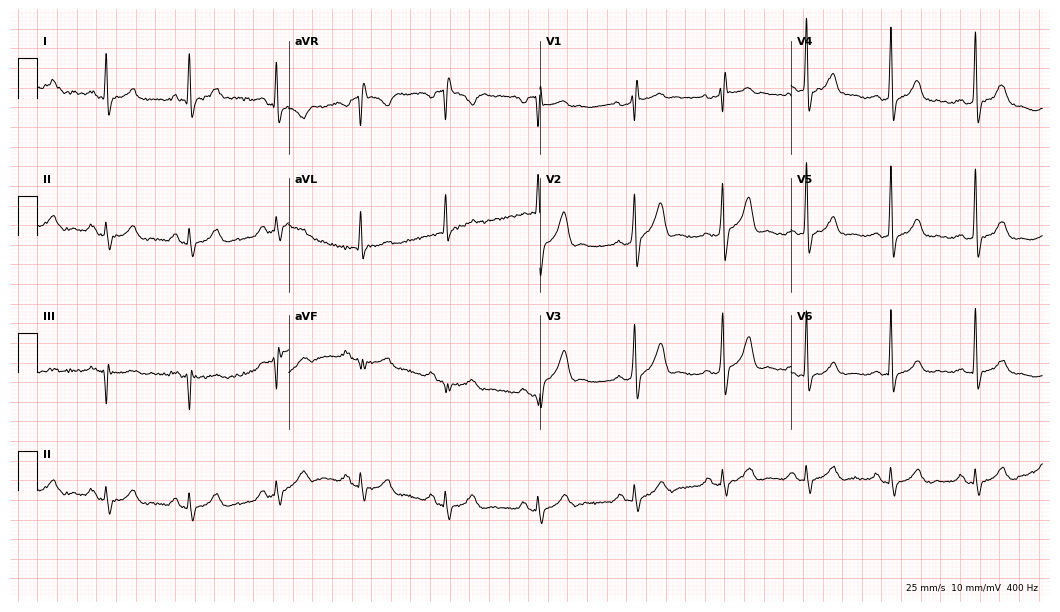
12-lead ECG from a 36-year-old male patient. No first-degree AV block, right bundle branch block, left bundle branch block, sinus bradycardia, atrial fibrillation or sinus tachycardia recorded for this tracing. Only these six findings were labelled.